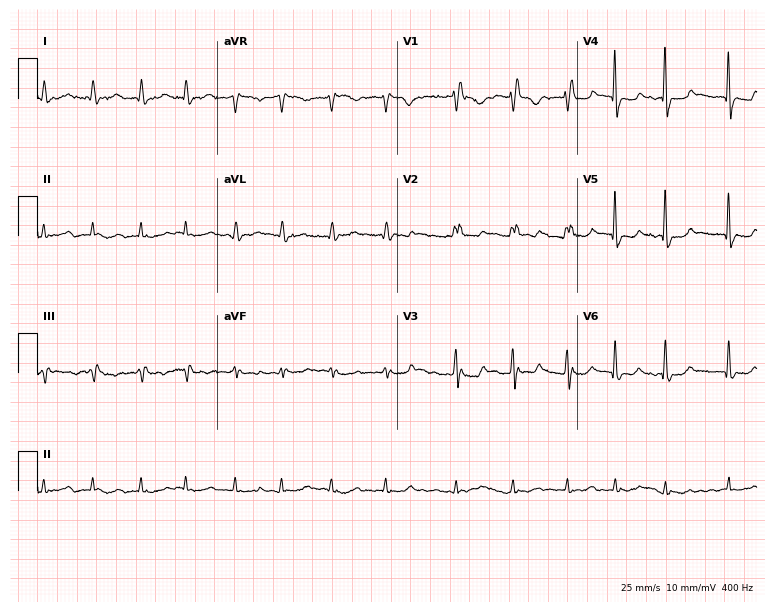
ECG — a man, 79 years old. Screened for six findings — first-degree AV block, right bundle branch block, left bundle branch block, sinus bradycardia, atrial fibrillation, sinus tachycardia — none is recorded. Findings outside these six are not listed.